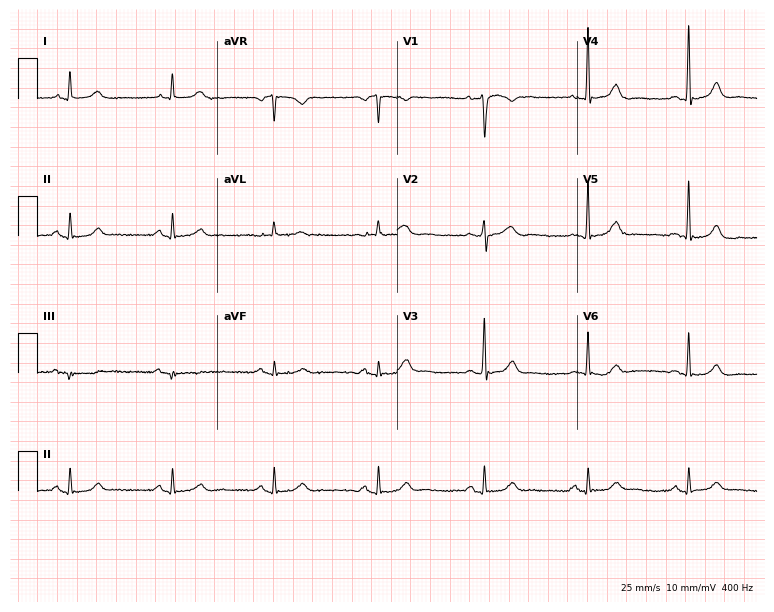
12-lead ECG from a 57-year-old female patient. Labelled as a normal ECG.